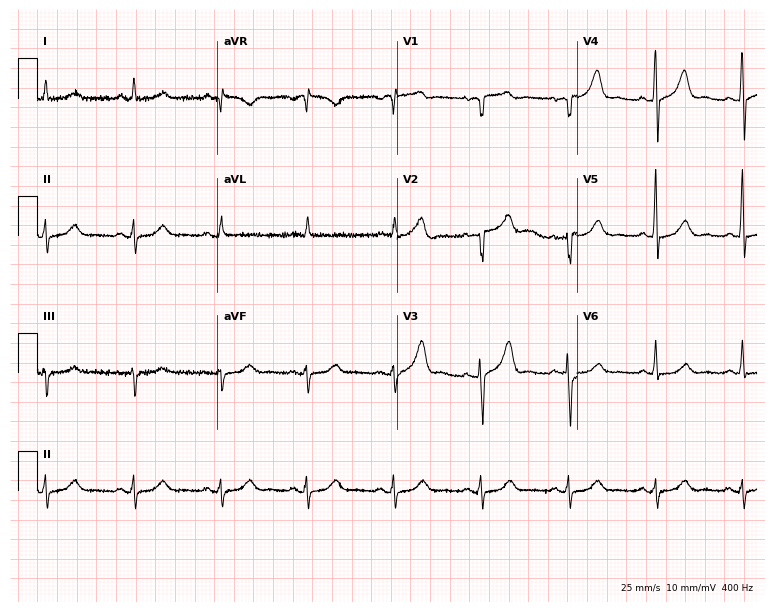
Electrocardiogram, a male patient, 69 years old. Of the six screened findings (first-degree AV block, right bundle branch block, left bundle branch block, sinus bradycardia, atrial fibrillation, sinus tachycardia), none is recorded. Only these six findings were labelled.